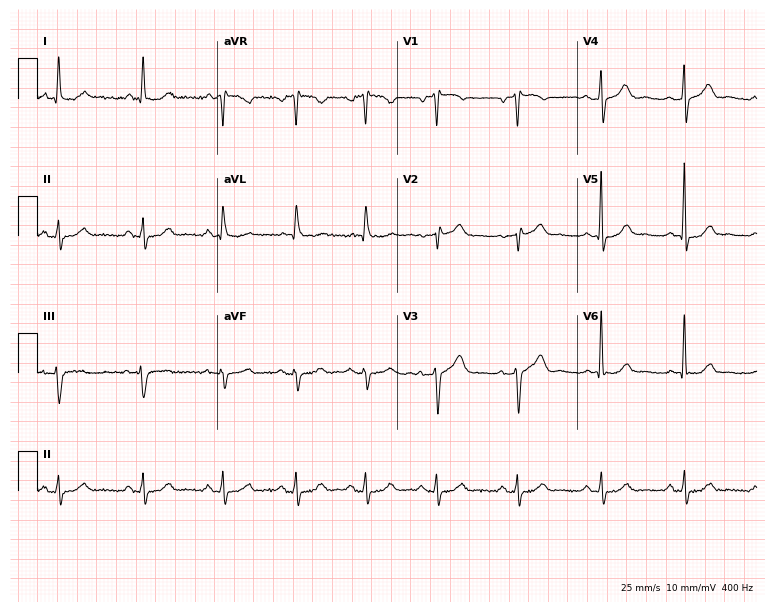
12-lead ECG from a male, 64 years old (7.3-second recording at 400 Hz). No first-degree AV block, right bundle branch block (RBBB), left bundle branch block (LBBB), sinus bradycardia, atrial fibrillation (AF) or sinus tachycardia recorded for this tracing.